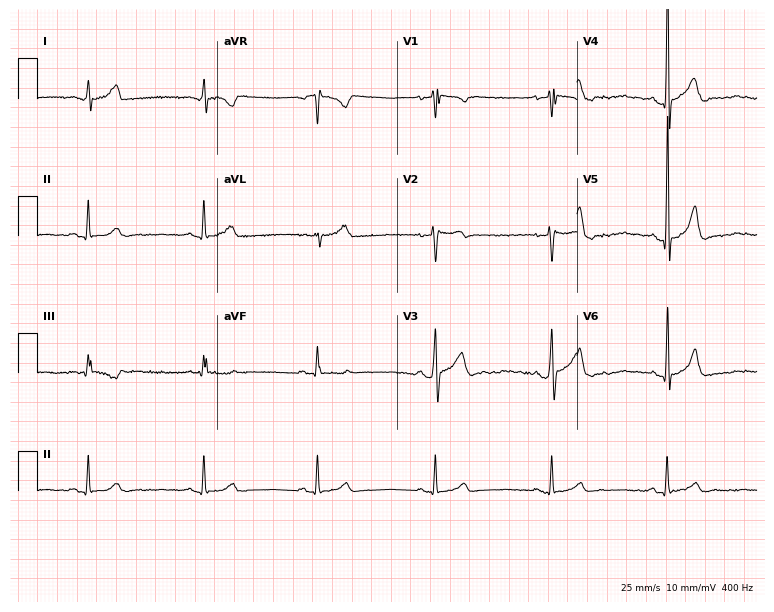
Standard 12-lead ECG recorded from a male patient, 30 years old. The tracing shows sinus bradycardia (a sinus rate of 50 beats per minute or less).